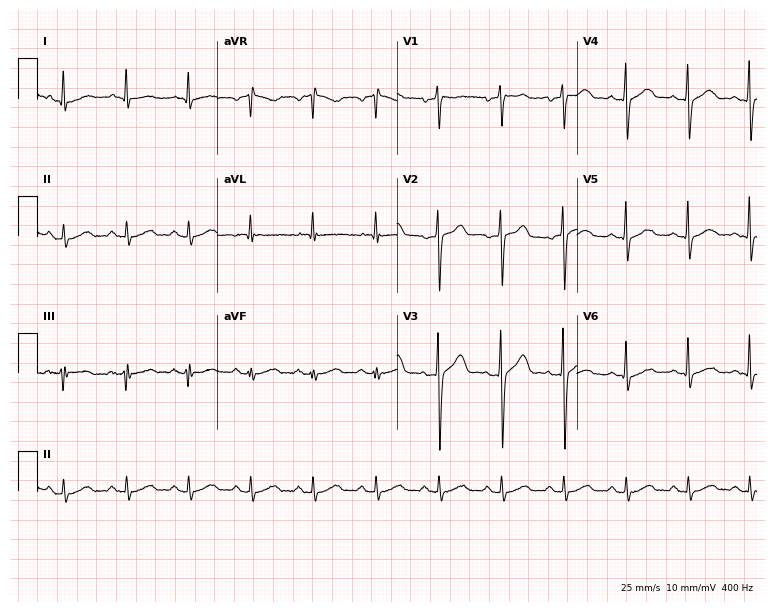
Resting 12-lead electrocardiogram (7.3-second recording at 400 Hz). Patient: a man, 47 years old. Read as a normal ECG.